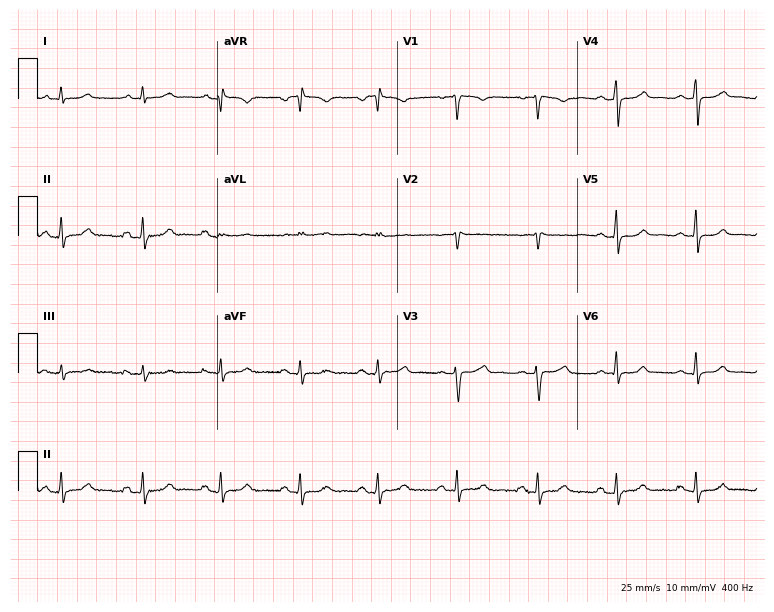
Standard 12-lead ECG recorded from a 46-year-old female (7.3-second recording at 400 Hz). None of these six findings is recorded: first-degree AV block, right bundle branch block, left bundle branch block, sinus bradycardia, atrial fibrillation, sinus tachycardia. Findings outside these six are not listed.